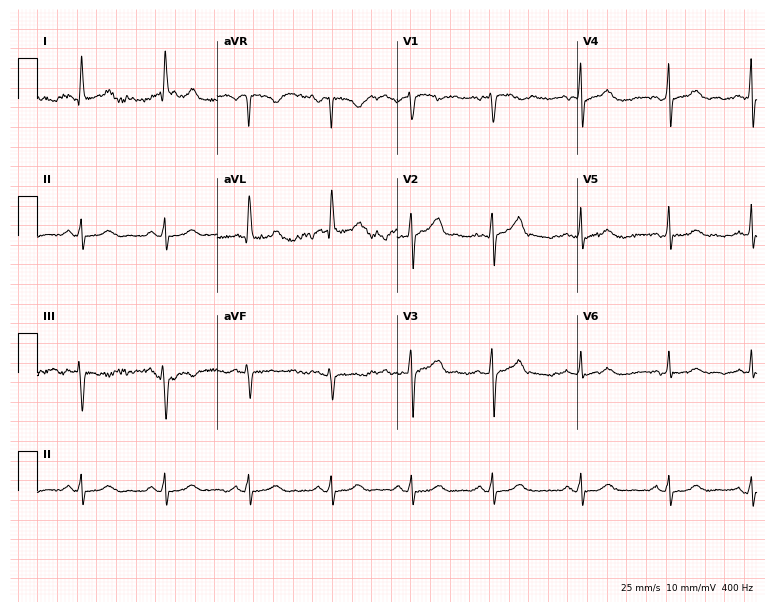
Resting 12-lead electrocardiogram (7.3-second recording at 400 Hz). Patient: a female, 48 years old. Read as a normal ECG.